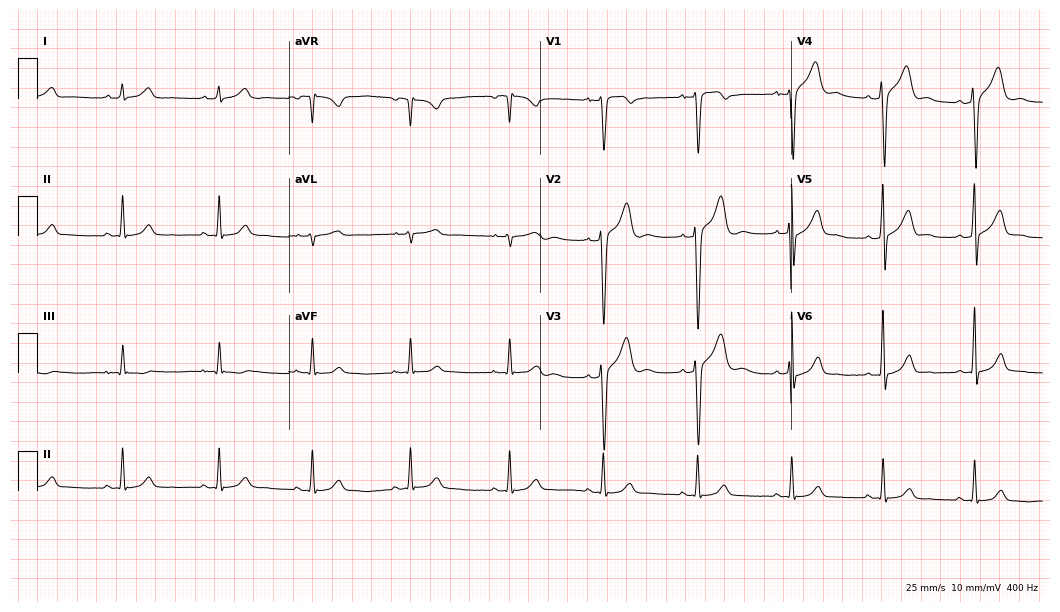
Standard 12-lead ECG recorded from a man, 28 years old (10.2-second recording at 400 Hz). None of these six findings is recorded: first-degree AV block, right bundle branch block, left bundle branch block, sinus bradycardia, atrial fibrillation, sinus tachycardia.